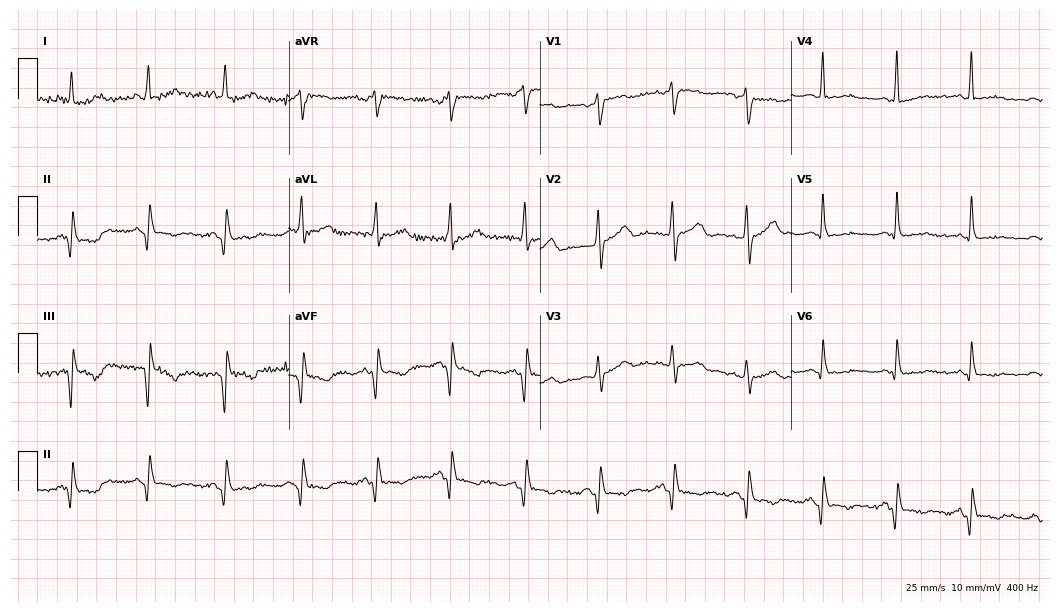
Resting 12-lead electrocardiogram. Patient: a 76-year-old female. None of these six findings is recorded: first-degree AV block, right bundle branch block (RBBB), left bundle branch block (LBBB), sinus bradycardia, atrial fibrillation (AF), sinus tachycardia.